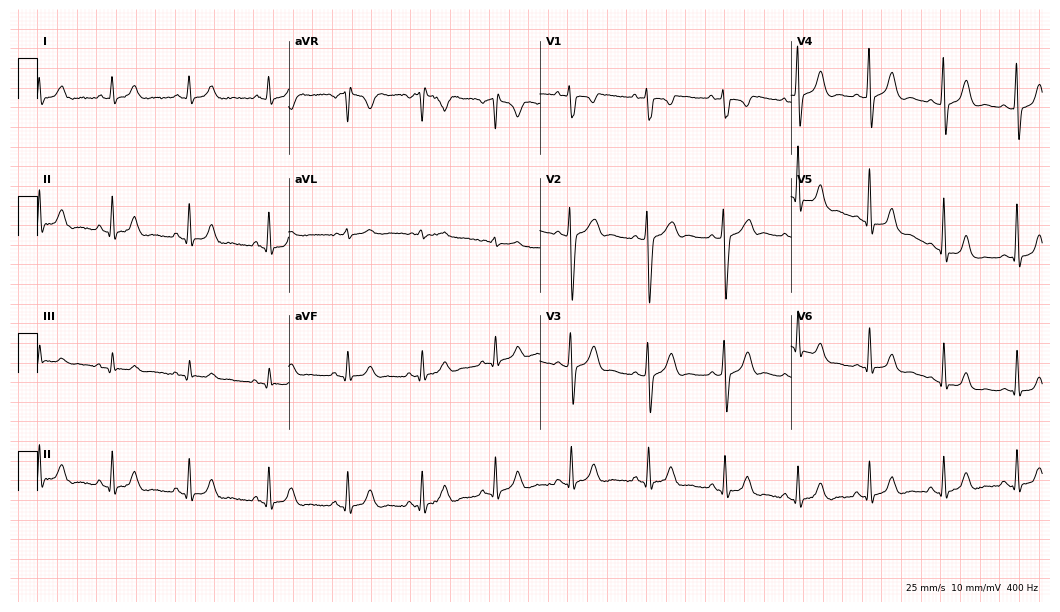
12-lead ECG (10.2-second recording at 400 Hz) from a 42-year-old male patient. Labelled as a normal ECG.